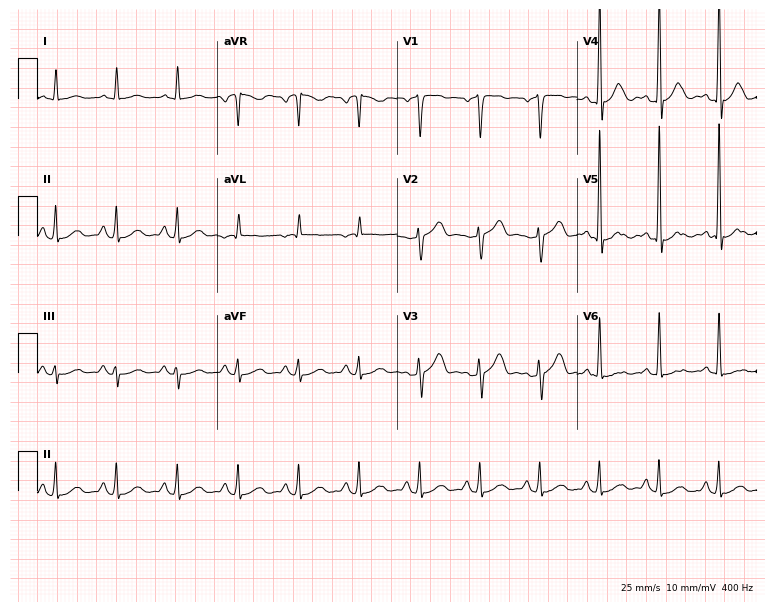
Standard 12-lead ECG recorded from a male patient, 60 years old (7.3-second recording at 400 Hz). None of these six findings is recorded: first-degree AV block, right bundle branch block, left bundle branch block, sinus bradycardia, atrial fibrillation, sinus tachycardia. Only these six findings were labelled.